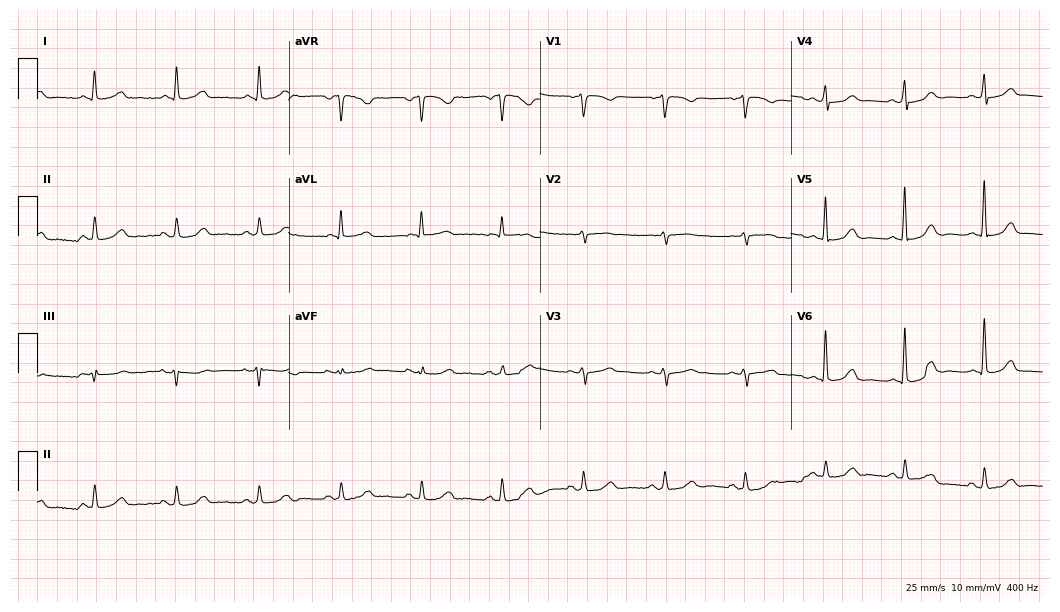
Resting 12-lead electrocardiogram. Patient: a 71-year-old female. Read as a normal ECG.